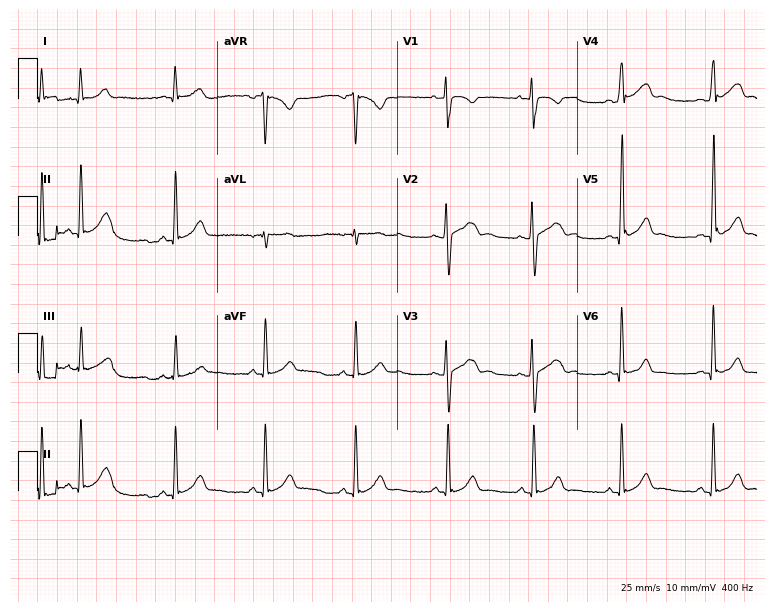
12-lead ECG (7.3-second recording at 400 Hz) from a 33-year-old female. Screened for six findings — first-degree AV block, right bundle branch block (RBBB), left bundle branch block (LBBB), sinus bradycardia, atrial fibrillation (AF), sinus tachycardia — none is recorded.